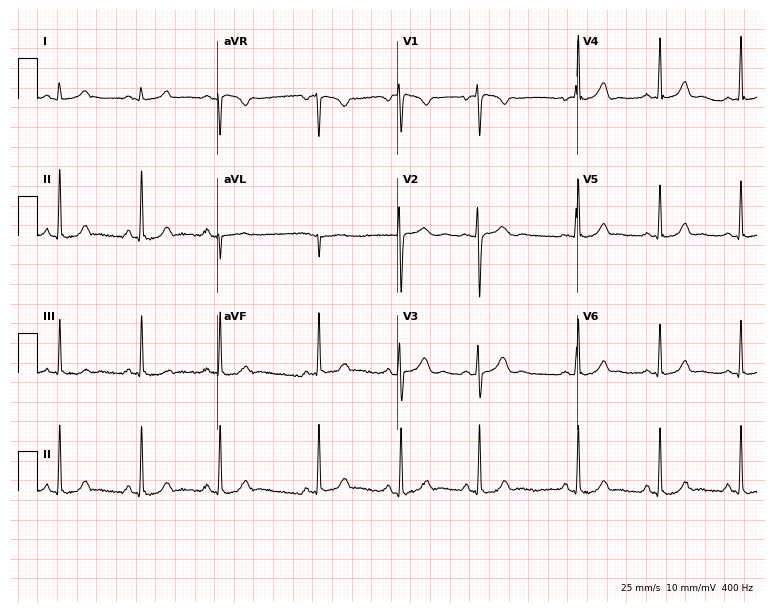
Resting 12-lead electrocardiogram (7.3-second recording at 400 Hz). Patient: a 21-year-old female. Read as a normal ECG.